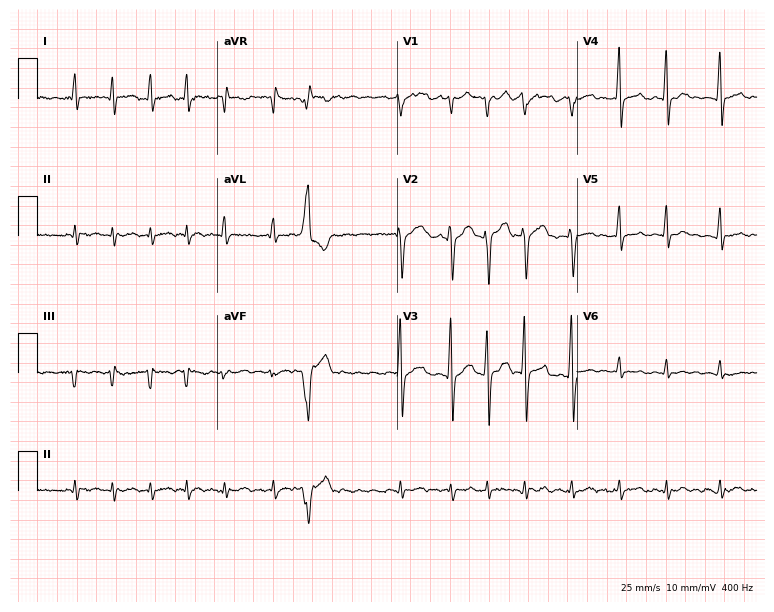
Standard 12-lead ECG recorded from a 58-year-old male. The tracing shows atrial fibrillation.